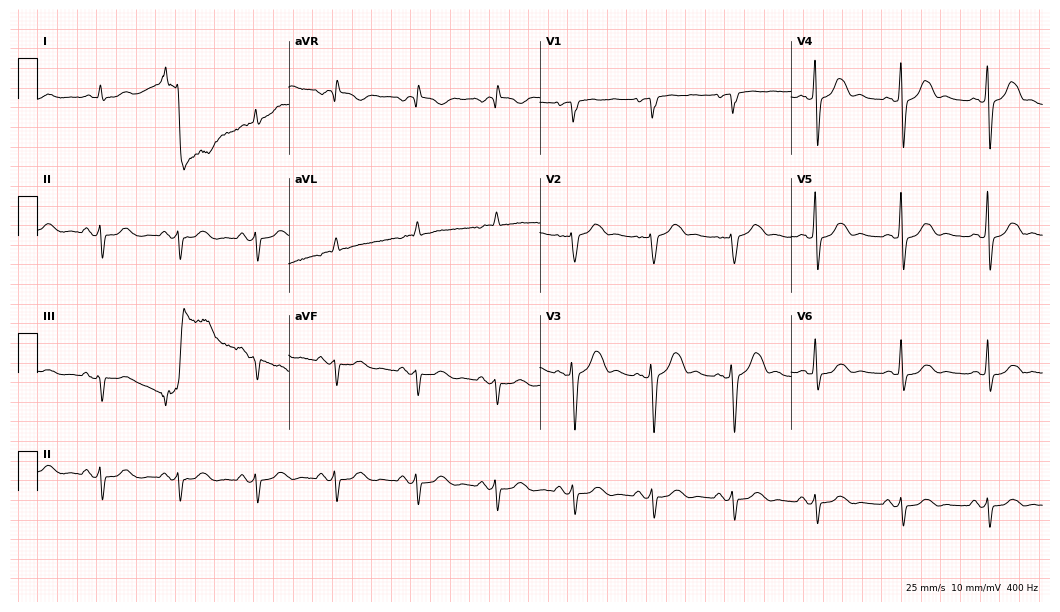
12-lead ECG (10.2-second recording at 400 Hz) from a 67-year-old man. Screened for six findings — first-degree AV block, right bundle branch block, left bundle branch block, sinus bradycardia, atrial fibrillation, sinus tachycardia — none is recorded.